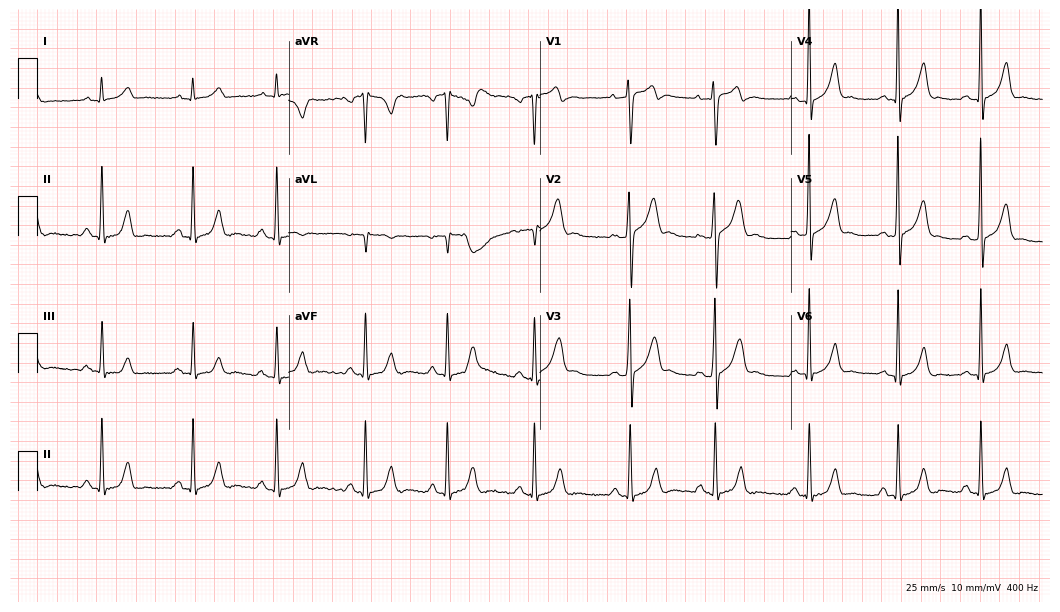
12-lead ECG from a male patient, 27 years old (10.2-second recording at 400 Hz). Recorded interpretation: within normal limits.